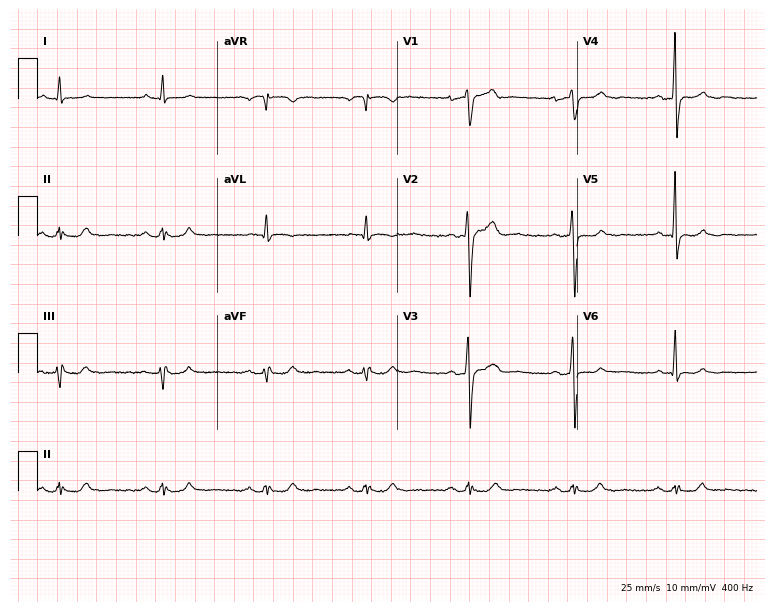
Electrocardiogram (7.3-second recording at 400 Hz), a man, 66 years old. Of the six screened findings (first-degree AV block, right bundle branch block, left bundle branch block, sinus bradycardia, atrial fibrillation, sinus tachycardia), none is recorded. Findings outside these six are not listed.